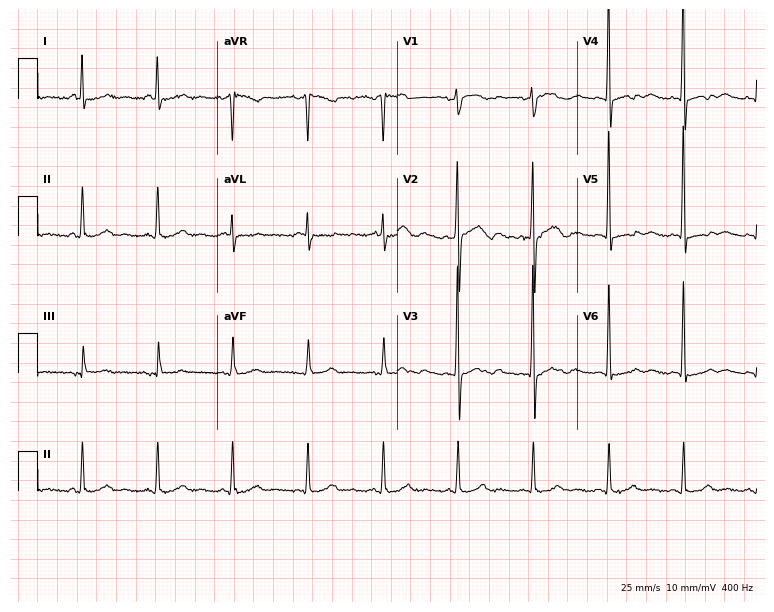
12-lead ECG from a male, 67 years old. Screened for six findings — first-degree AV block, right bundle branch block, left bundle branch block, sinus bradycardia, atrial fibrillation, sinus tachycardia — none is recorded.